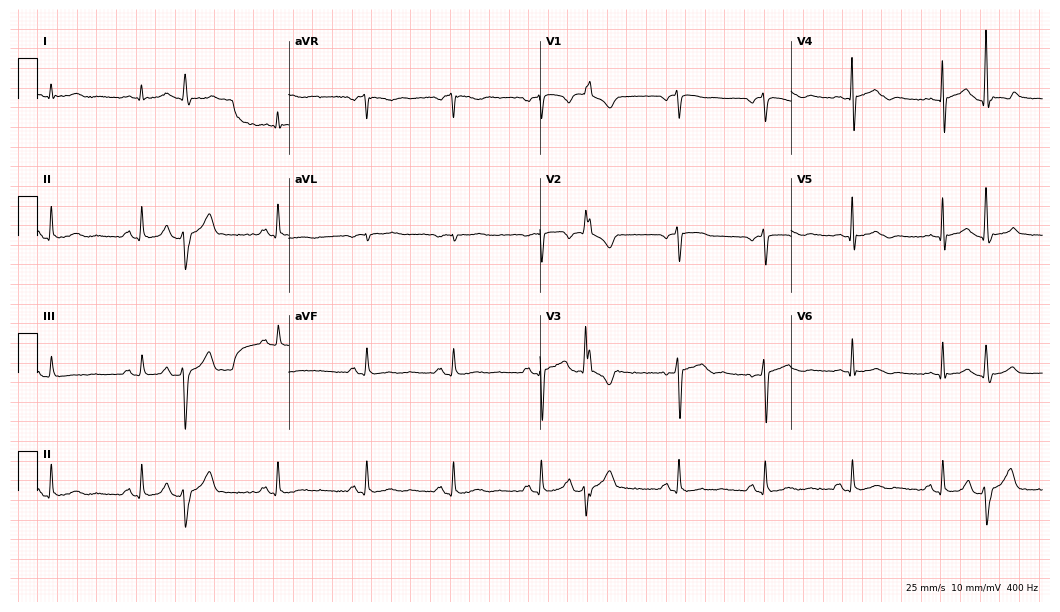
Standard 12-lead ECG recorded from a male patient, 66 years old. Read as a normal ECG.